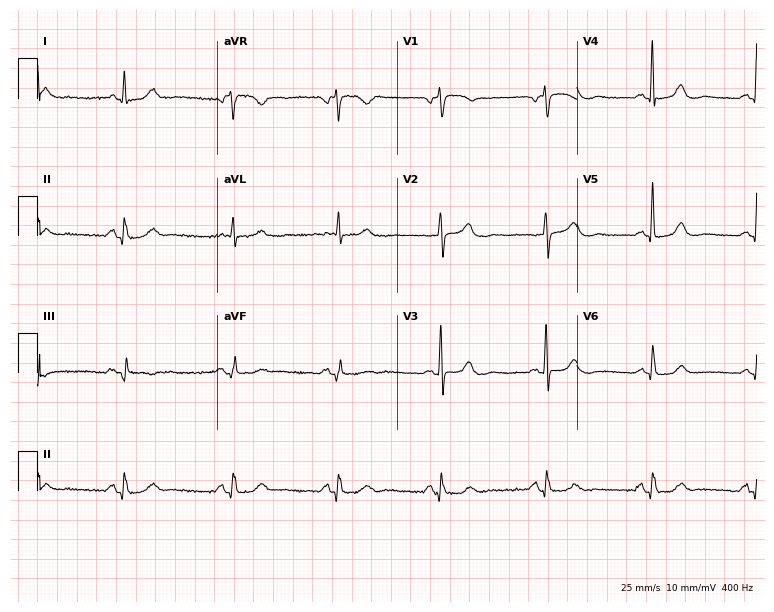
12-lead ECG from a 74-year-old man. Recorded interpretation: within normal limits.